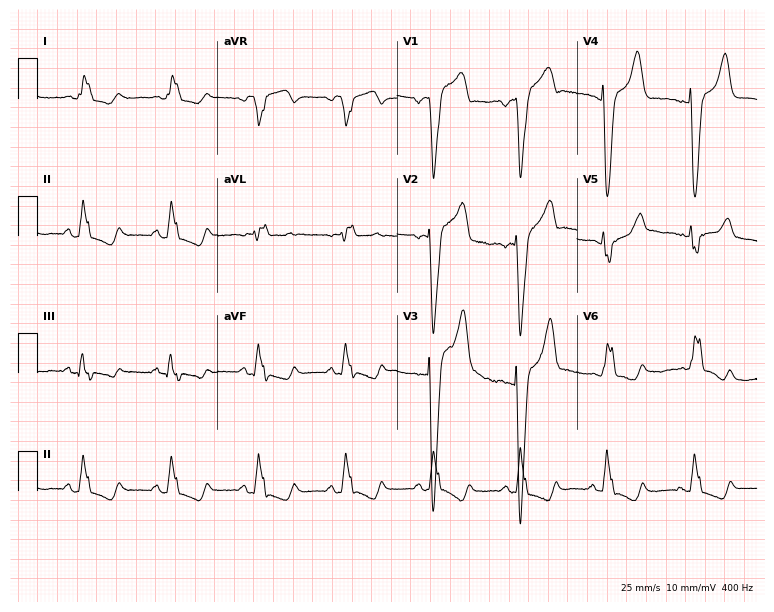
12-lead ECG (7.3-second recording at 400 Hz) from a 72-year-old man. Findings include left bundle branch block.